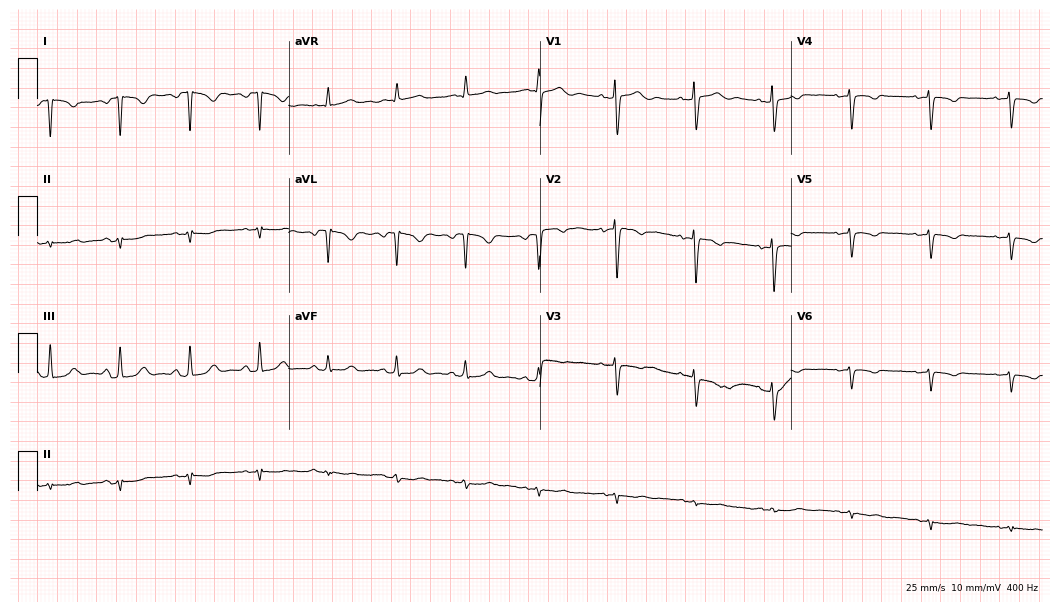
12-lead ECG from a female, 31 years old. Screened for six findings — first-degree AV block, right bundle branch block, left bundle branch block, sinus bradycardia, atrial fibrillation, sinus tachycardia — none is recorded. Only these six findings were labelled.